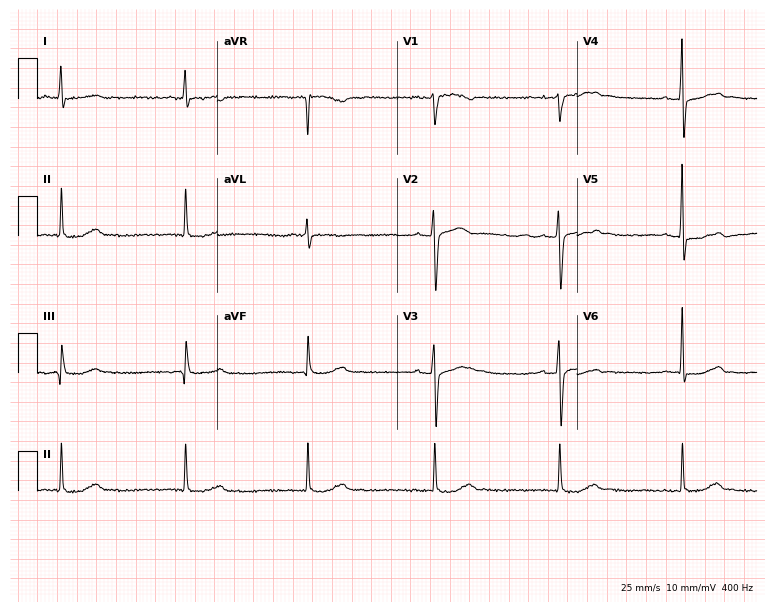
Resting 12-lead electrocardiogram (7.3-second recording at 400 Hz). Patient: a 79-year-old man. None of these six findings is recorded: first-degree AV block, right bundle branch block, left bundle branch block, sinus bradycardia, atrial fibrillation, sinus tachycardia. Other findings, if any, are not listed.